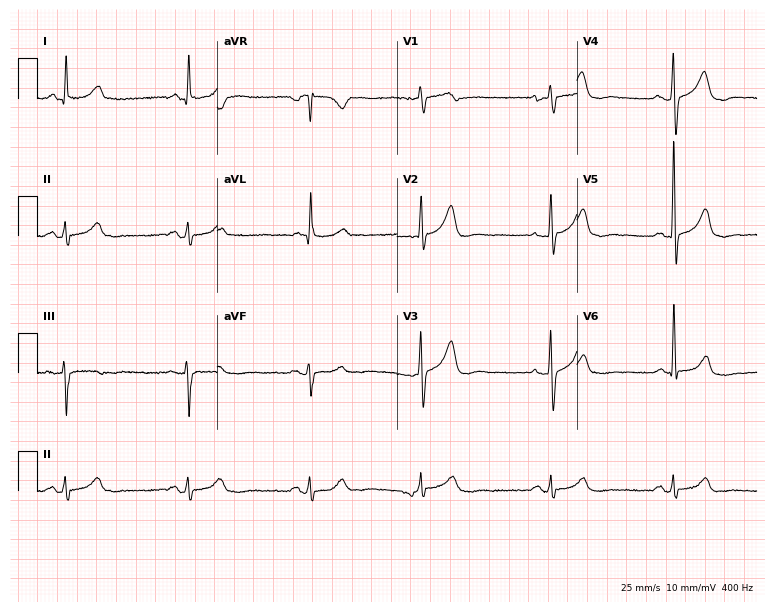
Resting 12-lead electrocardiogram. Patient: a 70-year-old male. None of these six findings is recorded: first-degree AV block, right bundle branch block (RBBB), left bundle branch block (LBBB), sinus bradycardia, atrial fibrillation (AF), sinus tachycardia. Findings outside these six are not listed.